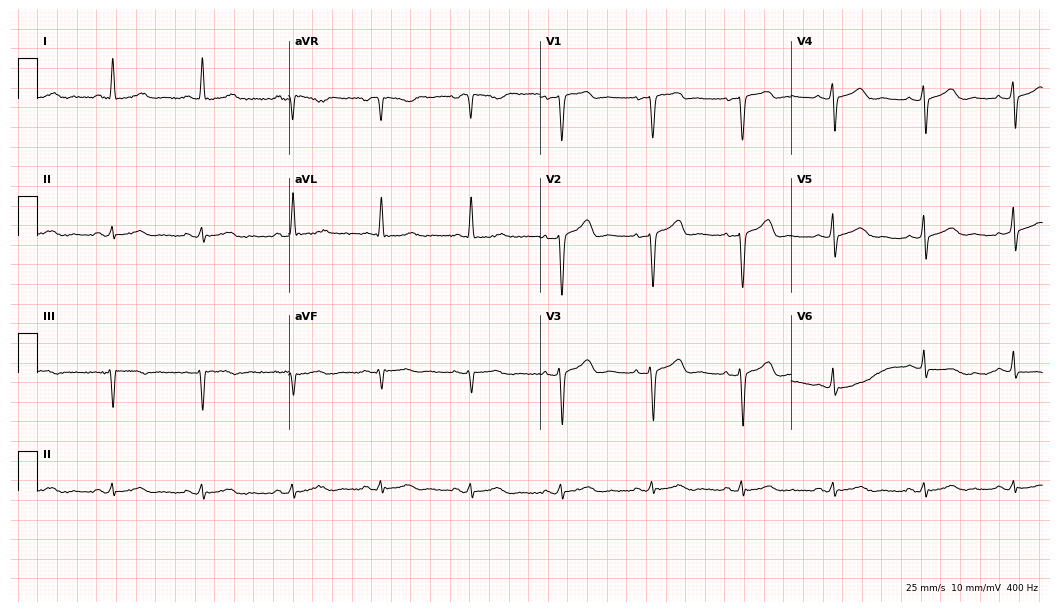
ECG (10.2-second recording at 400 Hz) — a 50-year-old woman. Labelled as a normal ECG.